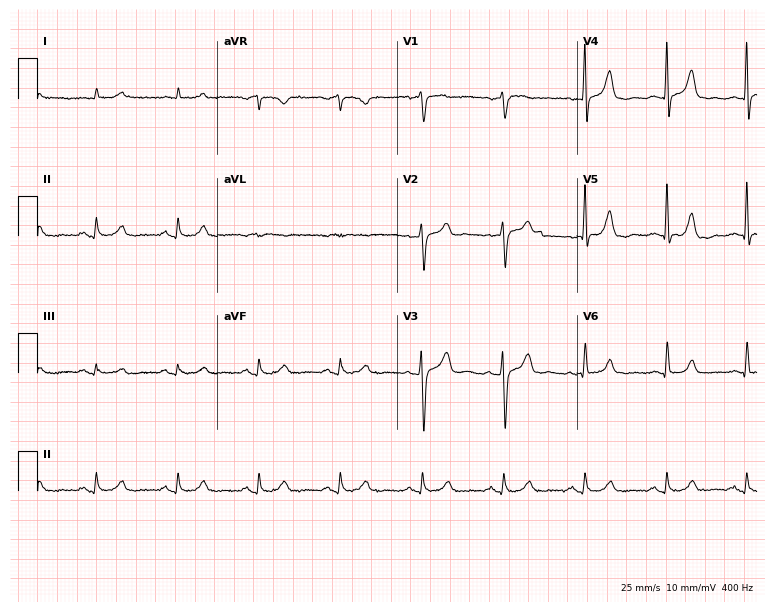
12-lead ECG from an 80-year-old man. Recorded interpretation: within normal limits.